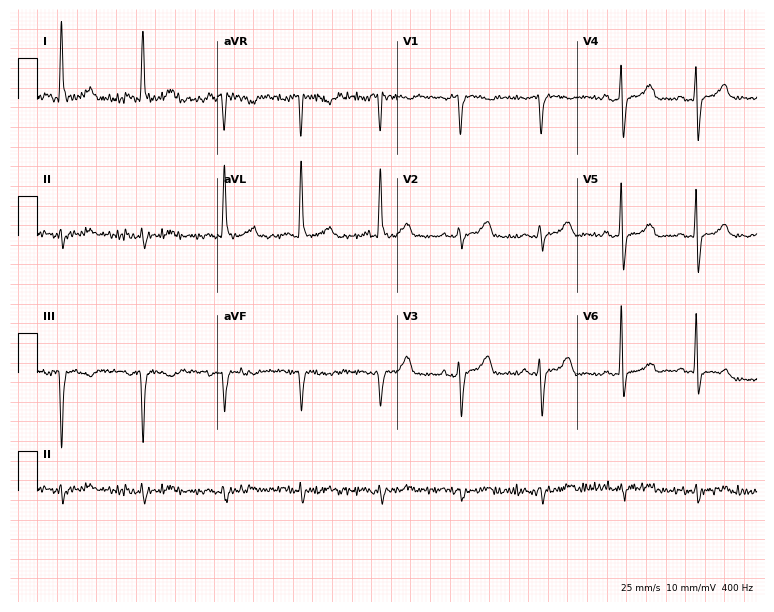
Standard 12-lead ECG recorded from a male, 81 years old. None of these six findings is recorded: first-degree AV block, right bundle branch block, left bundle branch block, sinus bradycardia, atrial fibrillation, sinus tachycardia.